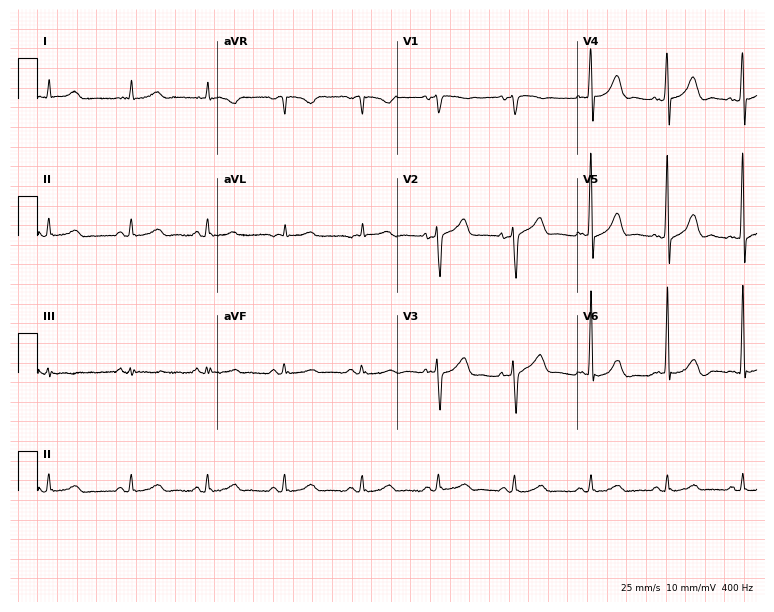
Electrocardiogram, a 79-year-old male. Of the six screened findings (first-degree AV block, right bundle branch block (RBBB), left bundle branch block (LBBB), sinus bradycardia, atrial fibrillation (AF), sinus tachycardia), none is recorded. Other findings, if any, are not listed.